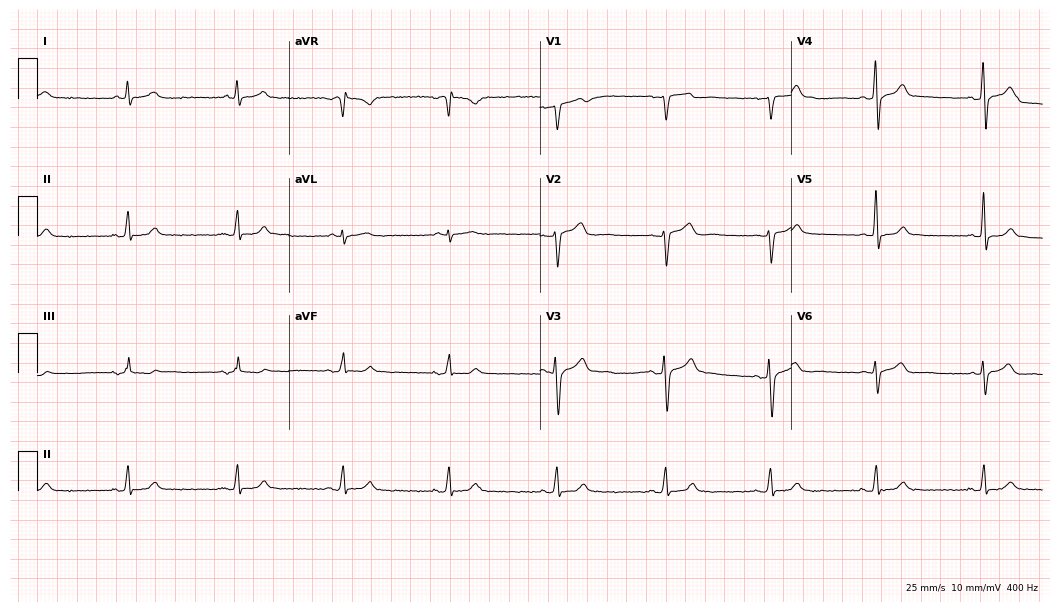
12-lead ECG from a man, 64 years old. Labelled as a normal ECG.